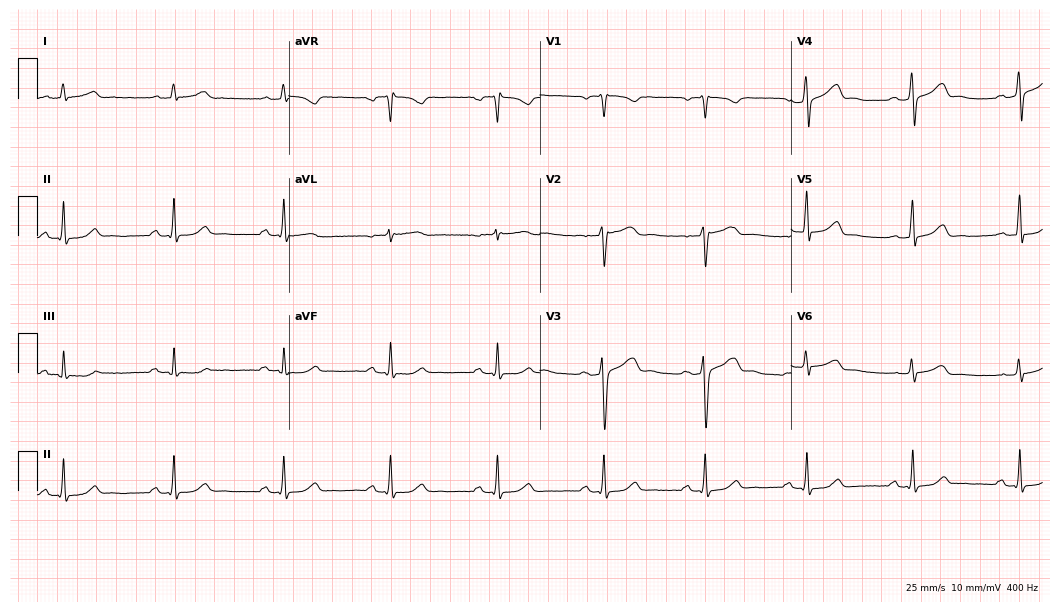
Resting 12-lead electrocardiogram. Patient: a 54-year-old male. Read as a normal ECG.